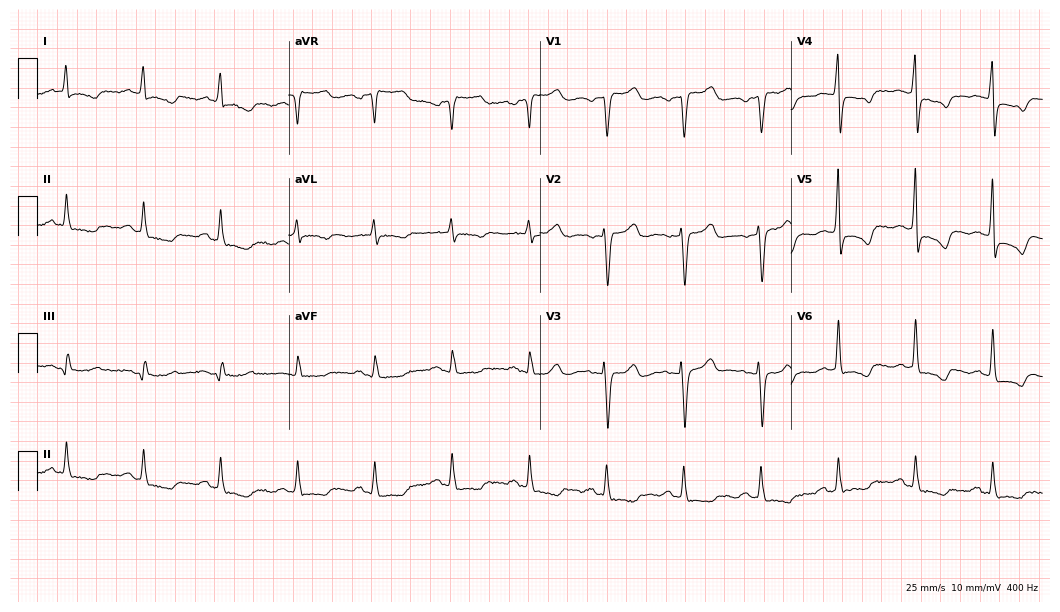
Electrocardiogram (10.2-second recording at 400 Hz), a female patient, 68 years old. Of the six screened findings (first-degree AV block, right bundle branch block, left bundle branch block, sinus bradycardia, atrial fibrillation, sinus tachycardia), none is recorded. Other findings, if any, are not listed.